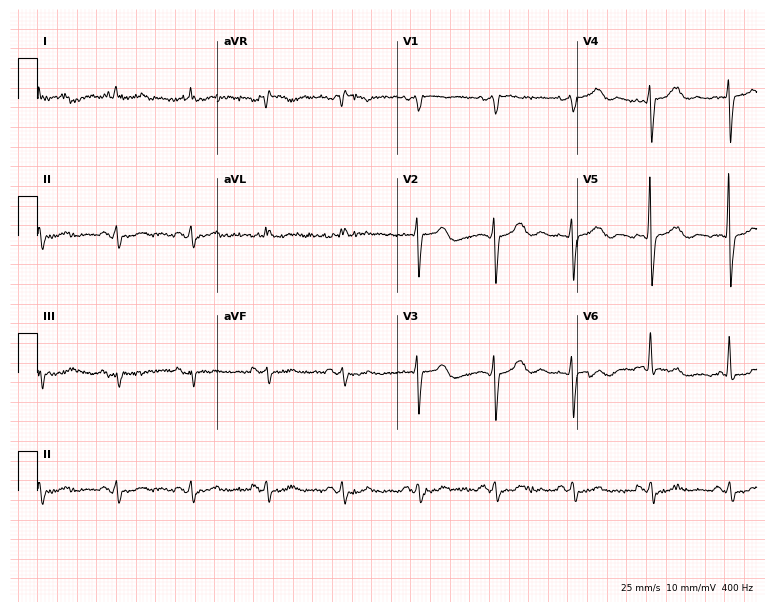
Standard 12-lead ECG recorded from an 84-year-old male patient (7.3-second recording at 400 Hz). None of these six findings is recorded: first-degree AV block, right bundle branch block, left bundle branch block, sinus bradycardia, atrial fibrillation, sinus tachycardia. Findings outside these six are not listed.